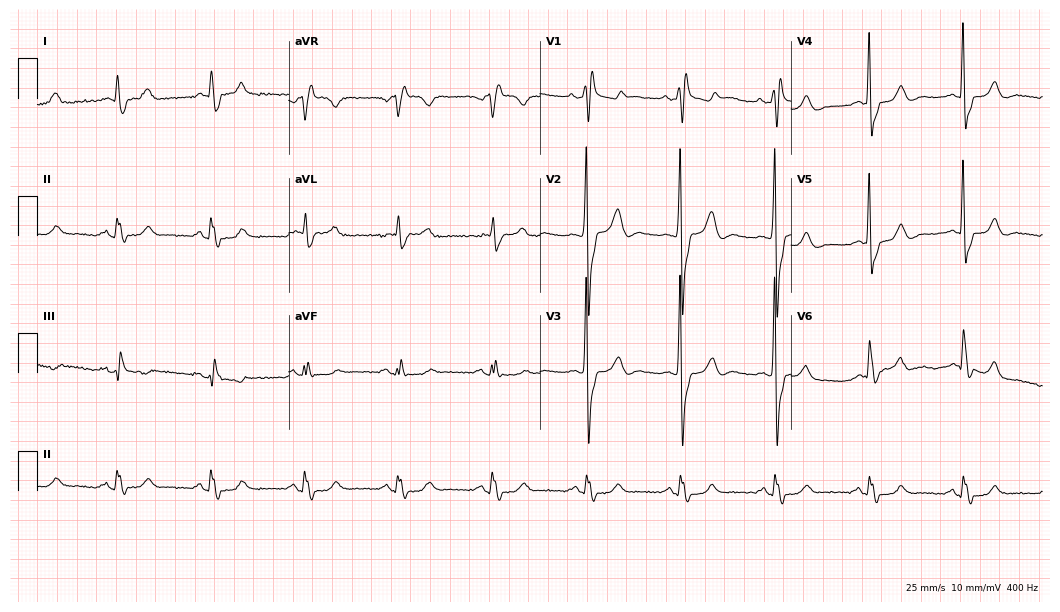
12-lead ECG from an 85-year-old man. Screened for six findings — first-degree AV block, right bundle branch block, left bundle branch block, sinus bradycardia, atrial fibrillation, sinus tachycardia — none is recorded. Other findings, if any, are not listed.